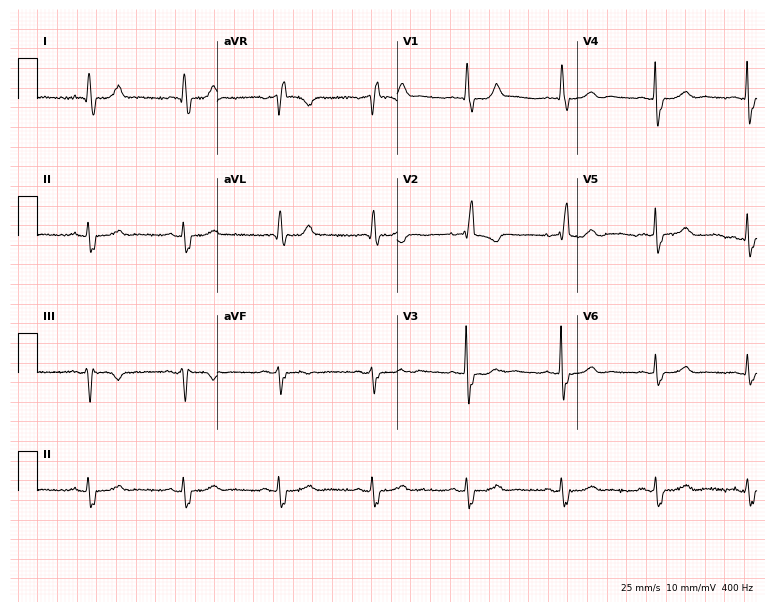
Standard 12-lead ECG recorded from a 78-year-old woman. The tracing shows right bundle branch block (RBBB).